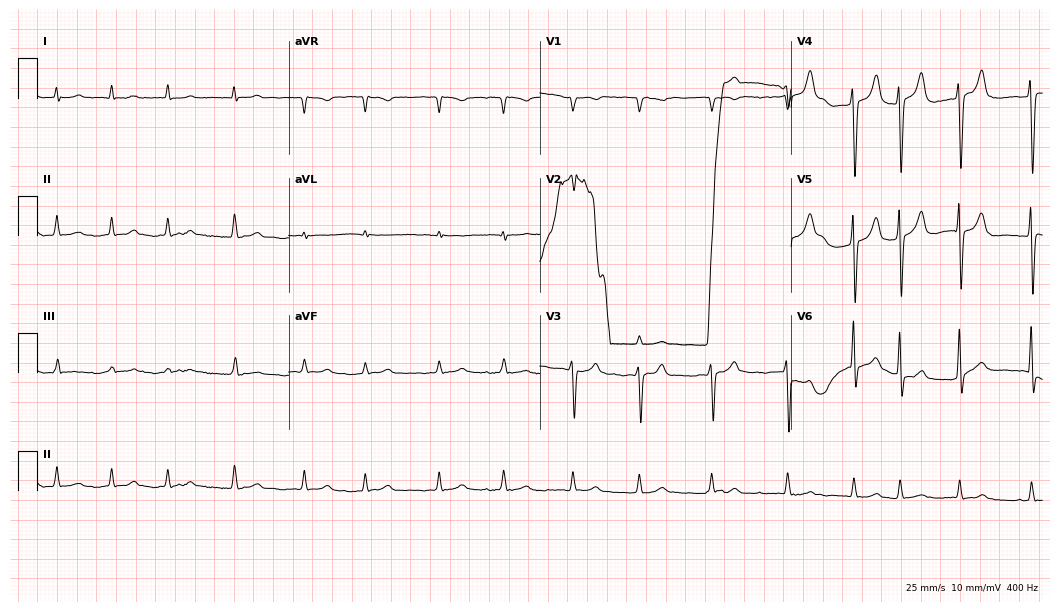
Standard 12-lead ECG recorded from a female, 83 years old (10.2-second recording at 400 Hz). The tracing shows atrial fibrillation.